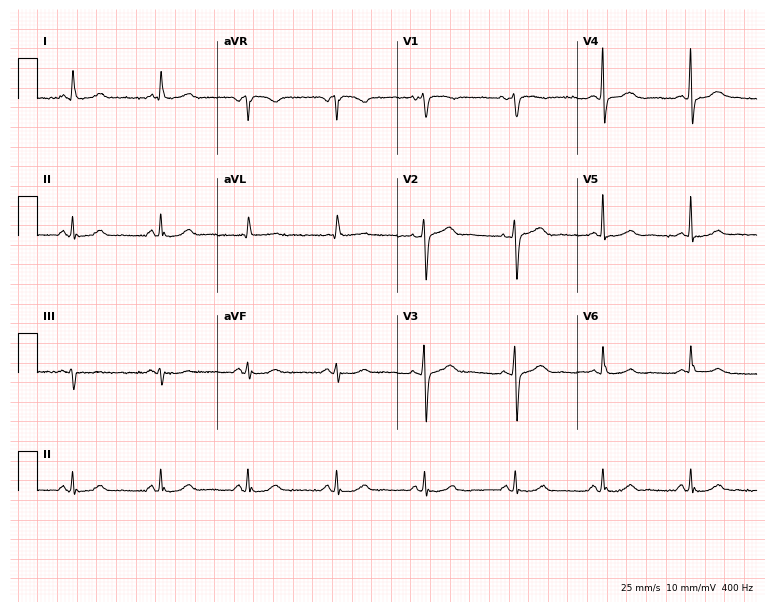
Resting 12-lead electrocardiogram (7.3-second recording at 400 Hz). Patient: a female, 68 years old. Read as a normal ECG.